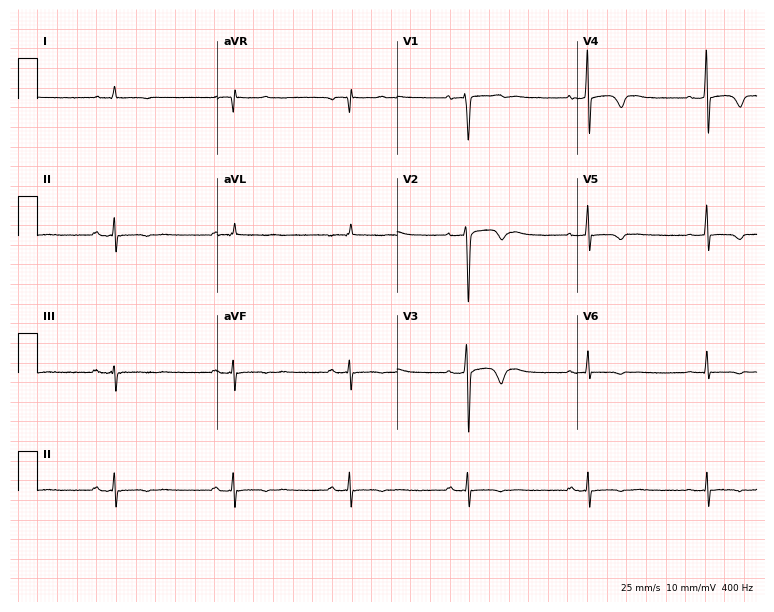
12-lead ECG from a male, 46 years old (7.3-second recording at 400 Hz). Shows sinus bradycardia (a sinus rate of 50 beats per minute or less).